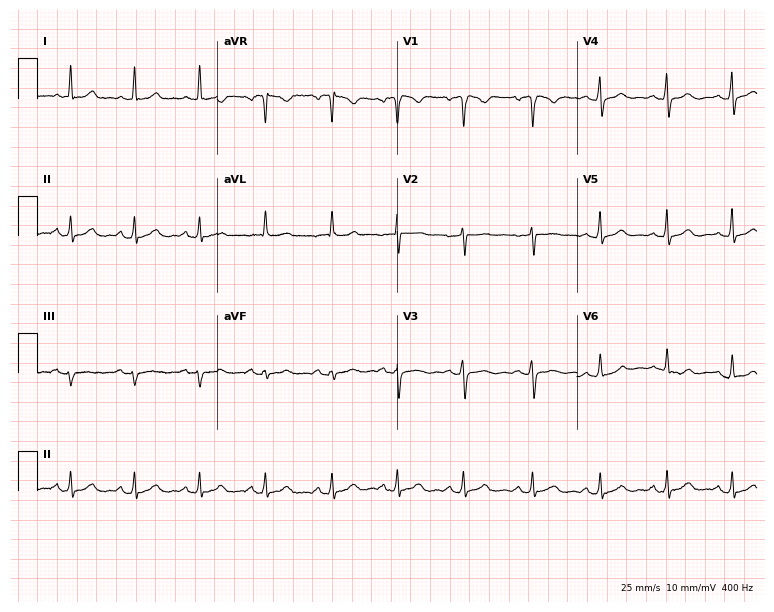
Electrocardiogram, a female patient, 18 years old. Overall reading on record: normal ECG.